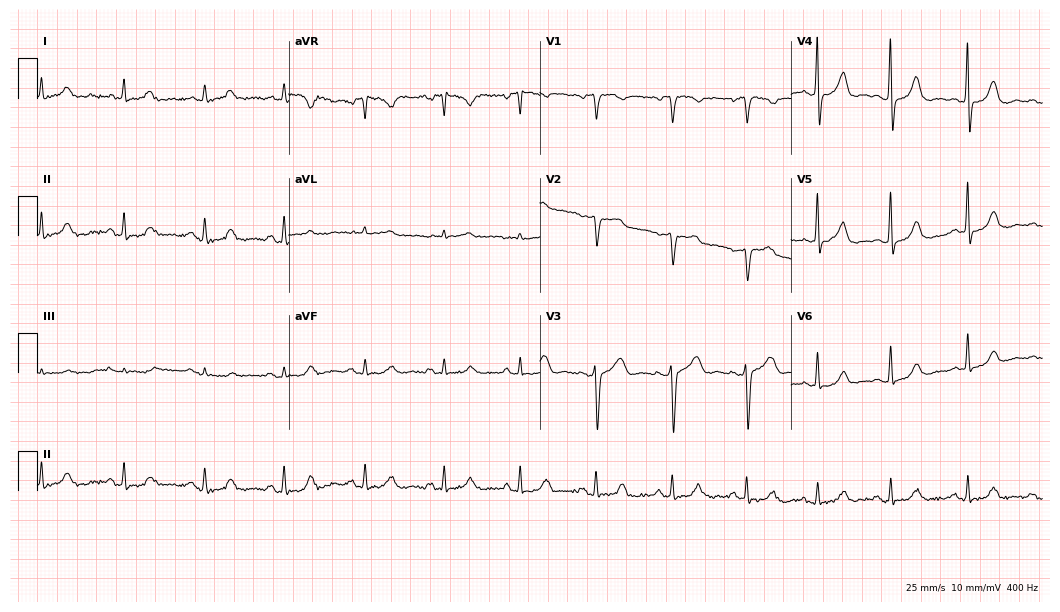
12-lead ECG from a woman, 54 years old. No first-degree AV block, right bundle branch block, left bundle branch block, sinus bradycardia, atrial fibrillation or sinus tachycardia recorded for this tracing.